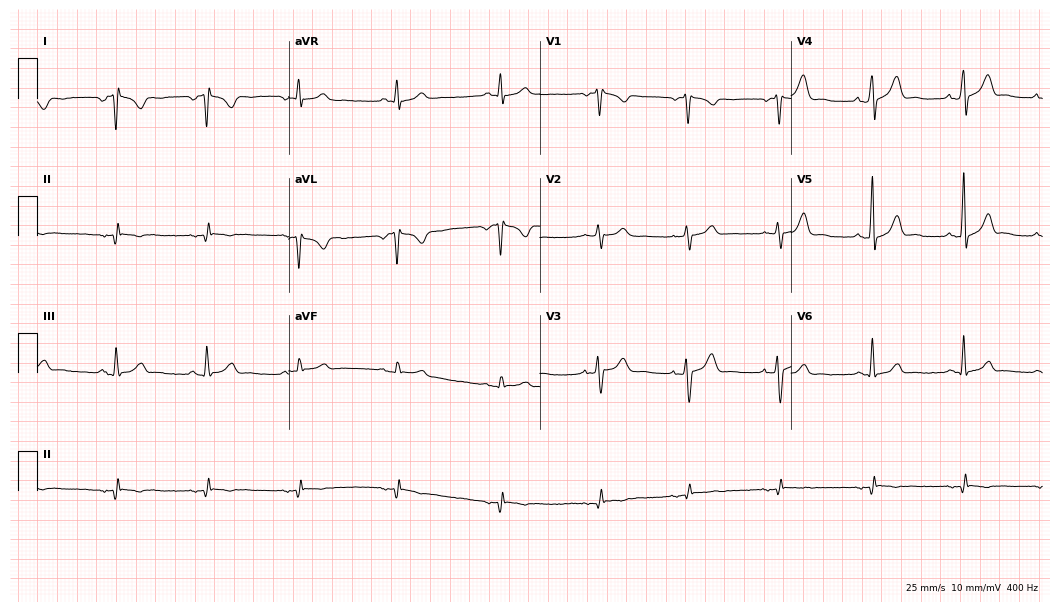
ECG — a woman, 36 years old. Screened for six findings — first-degree AV block, right bundle branch block (RBBB), left bundle branch block (LBBB), sinus bradycardia, atrial fibrillation (AF), sinus tachycardia — none is recorded.